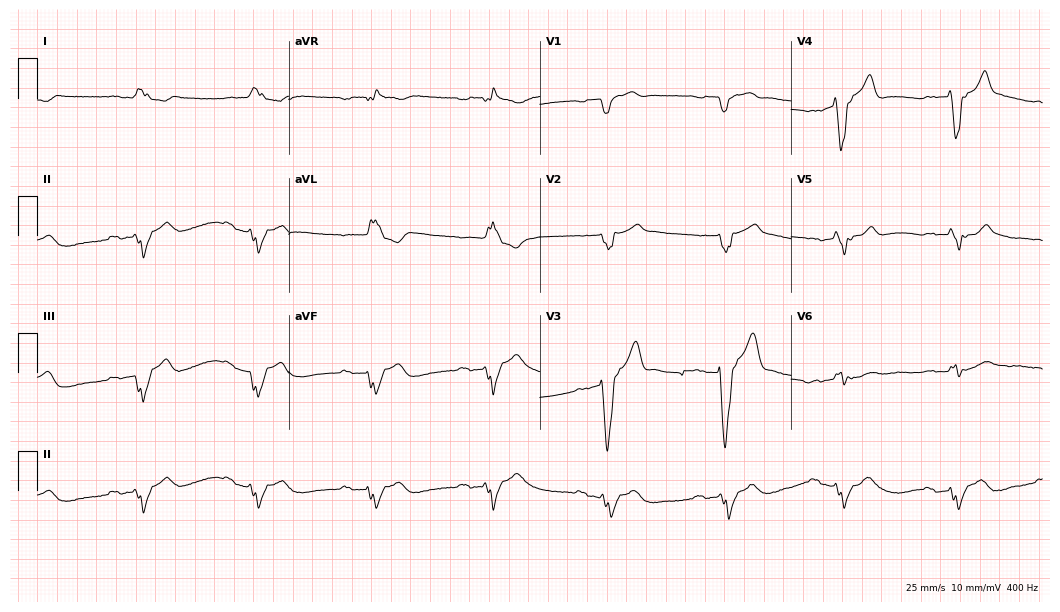
Resting 12-lead electrocardiogram. Patient: a 75-year-old man. None of these six findings is recorded: first-degree AV block, right bundle branch block (RBBB), left bundle branch block (LBBB), sinus bradycardia, atrial fibrillation (AF), sinus tachycardia.